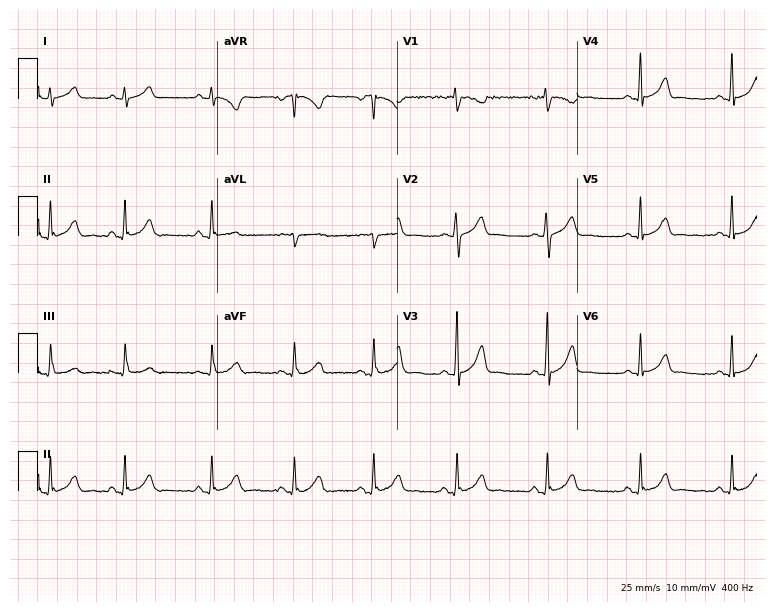
ECG (7.3-second recording at 400 Hz) — a female, 29 years old. Labelled as a normal ECG.